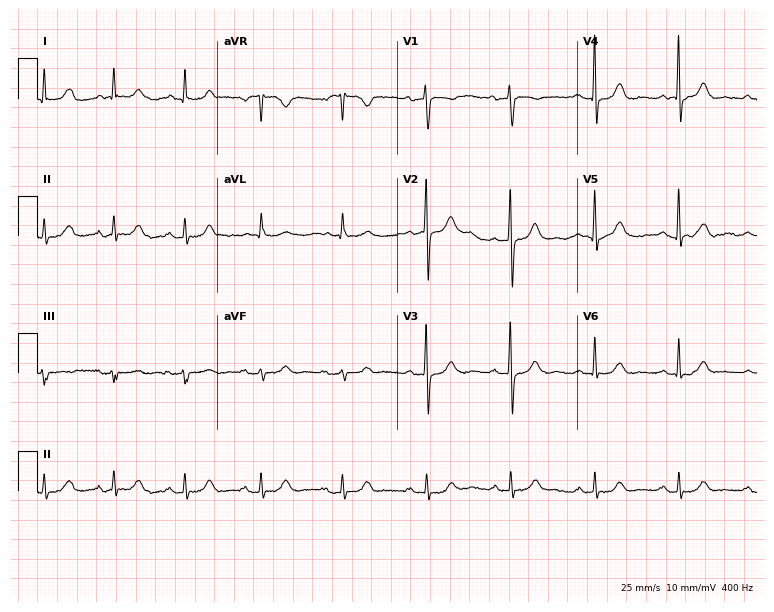
12-lead ECG from a 62-year-old female patient. Labelled as a normal ECG.